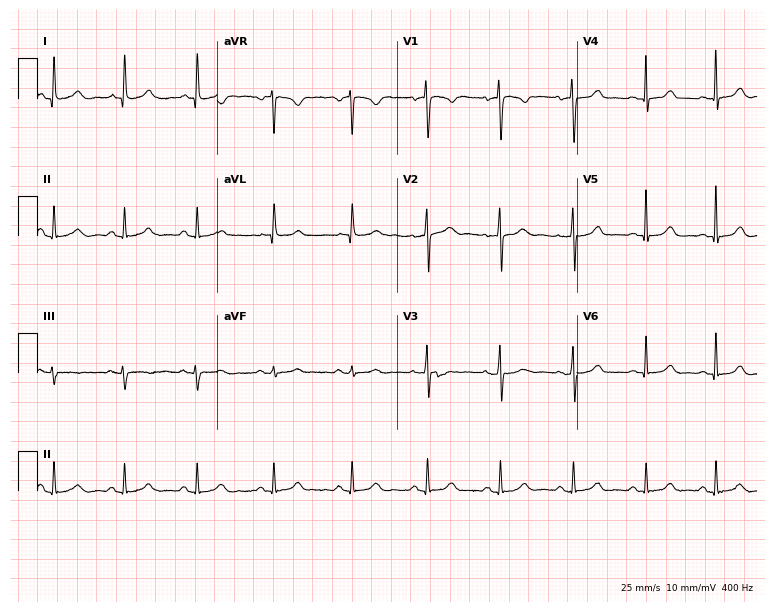
ECG (7.3-second recording at 400 Hz) — a 43-year-old woman. Labelled as a normal ECG.